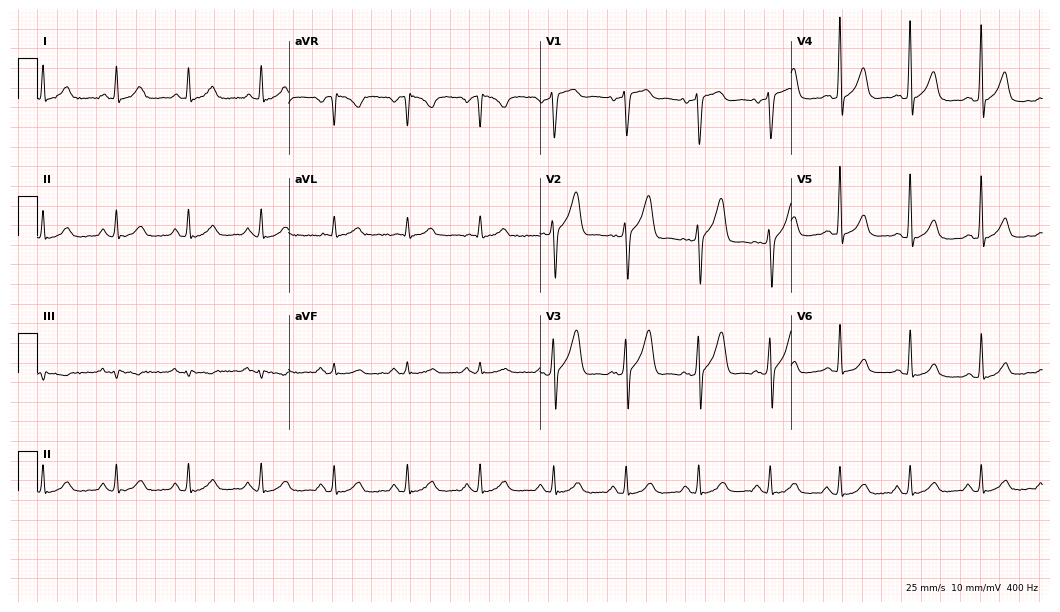
Standard 12-lead ECG recorded from a man, 56 years old (10.2-second recording at 400 Hz). Read as a normal ECG.